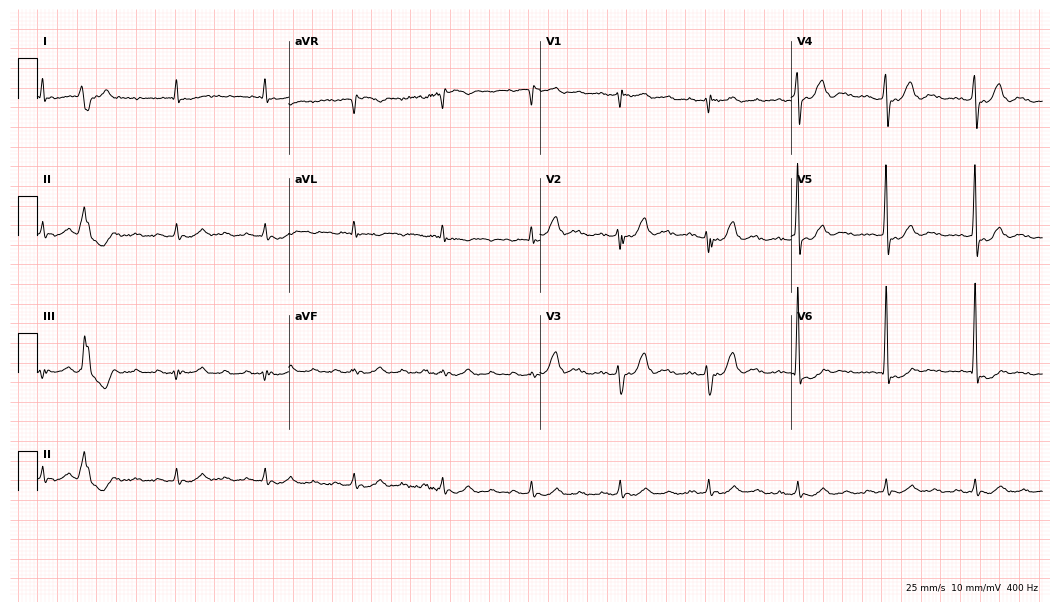
12-lead ECG from an 81-year-old male (10.2-second recording at 400 Hz). No first-degree AV block, right bundle branch block, left bundle branch block, sinus bradycardia, atrial fibrillation or sinus tachycardia recorded for this tracing.